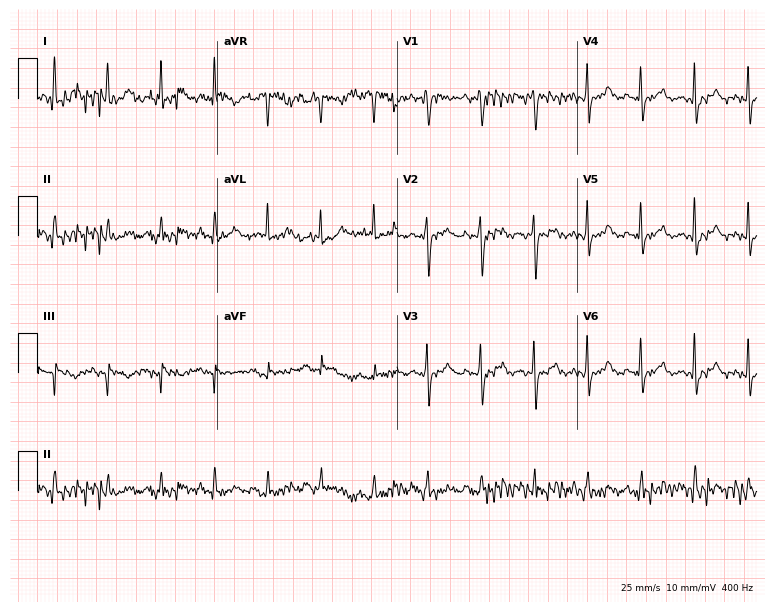
Electrocardiogram (7.3-second recording at 400 Hz), a 75-year-old female patient. Of the six screened findings (first-degree AV block, right bundle branch block, left bundle branch block, sinus bradycardia, atrial fibrillation, sinus tachycardia), none is recorded.